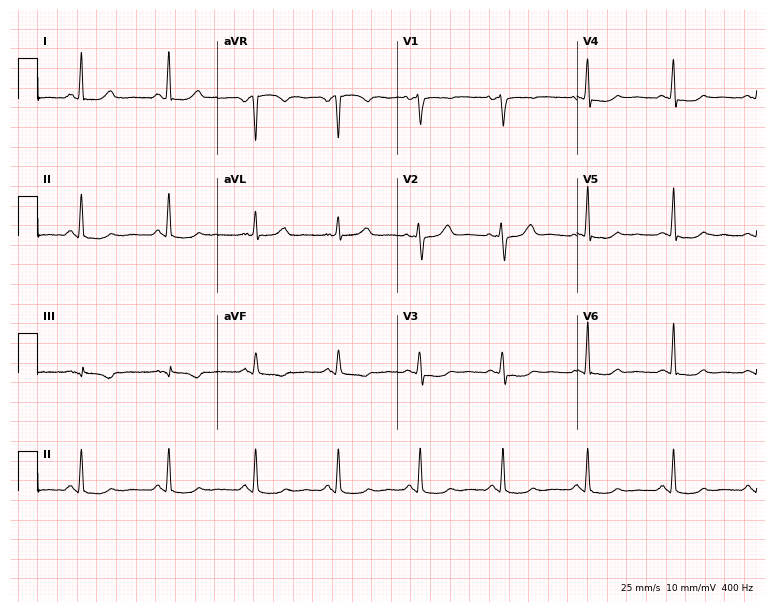
Standard 12-lead ECG recorded from a female, 43 years old (7.3-second recording at 400 Hz). None of these six findings is recorded: first-degree AV block, right bundle branch block, left bundle branch block, sinus bradycardia, atrial fibrillation, sinus tachycardia. Only these six findings were labelled.